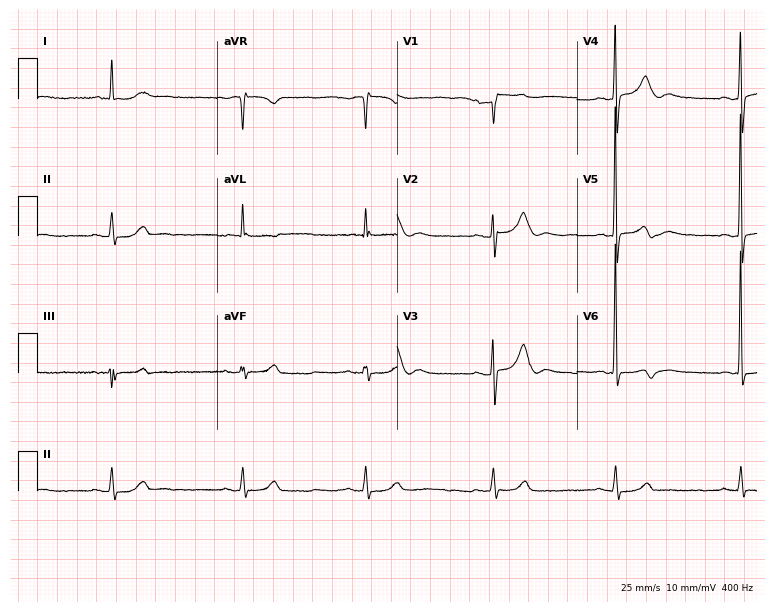
Electrocardiogram (7.3-second recording at 400 Hz), an 81-year-old female patient. Interpretation includes sinus bradycardia (a sinus rate of 50 beats per minute or less).